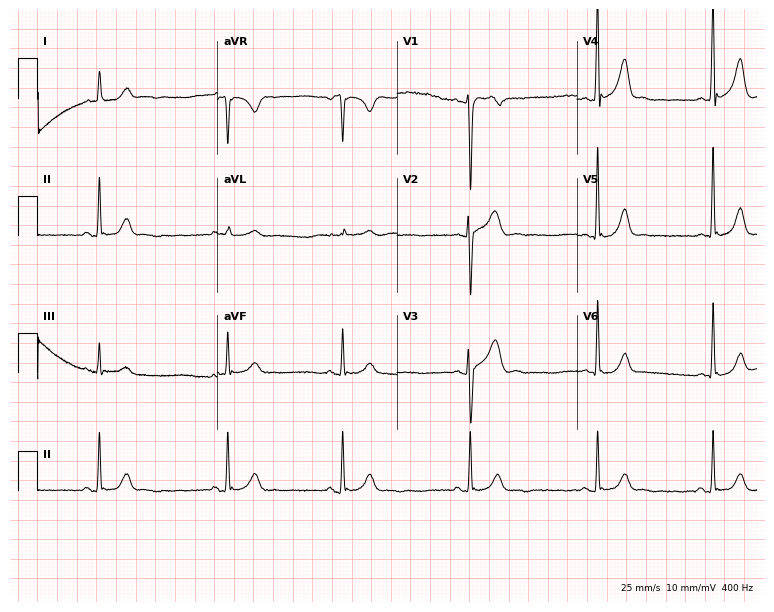
12-lead ECG from a 25-year-old male (7.3-second recording at 400 Hz). Shows sinus bradycardia (a sinus rate of 50 beats per minute or less).